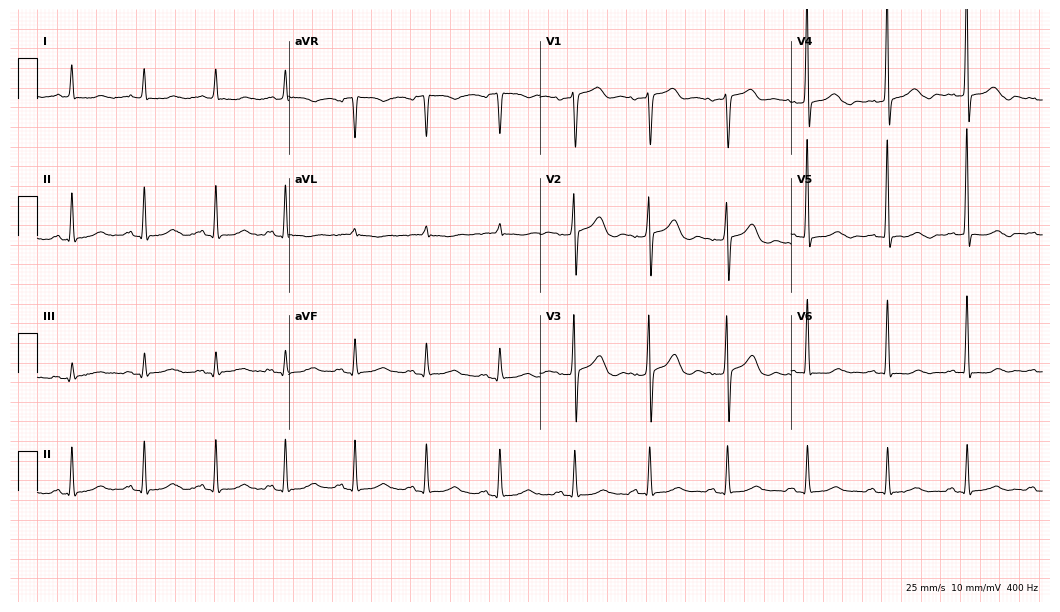
Electrocardiogram (10.2-second recording at 400 Hz), a 77-year-old woman. Of the six screened findings (first-degree AV block, right bundle branch block (RBBB), left bundle branch block (LBBB), sinus bradycardia, atrial fibrillation (AF), sinus tachycardia), none is recorded. Findings outside these six are not listed.